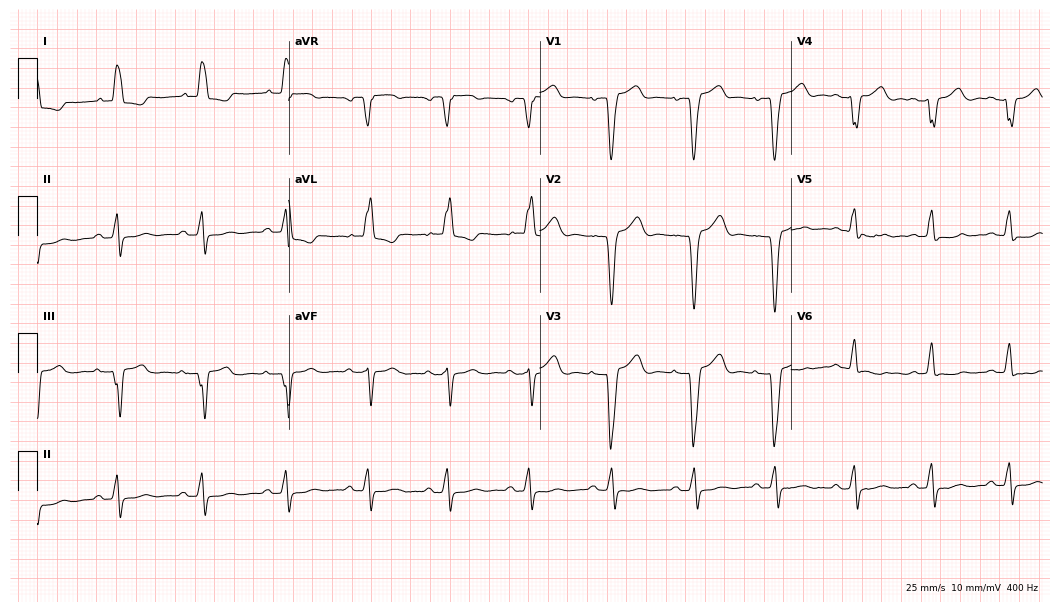
12-lead ECG from a 79-year-old female. Shows left bundle branch block.